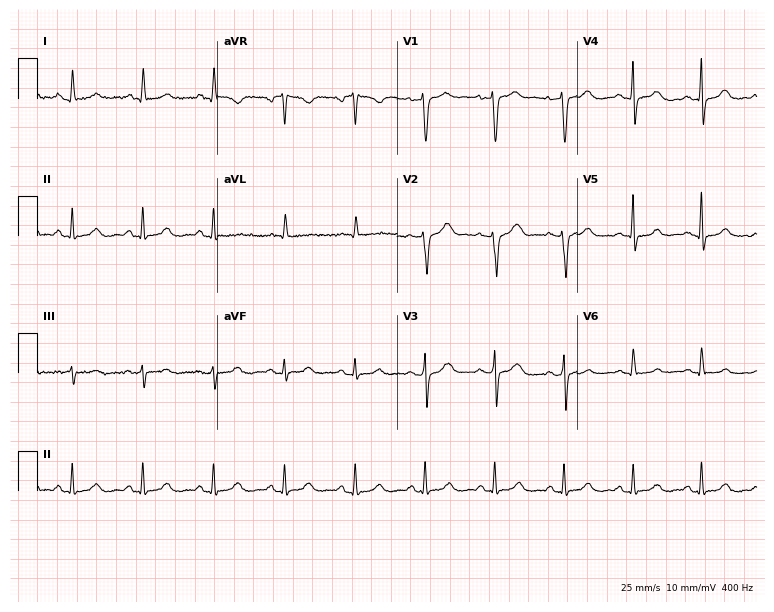
Standard 12-lead ECG recorded from a woman, 57 years old (7.3-second recording at 400 Hz). Read as a normal ECG.